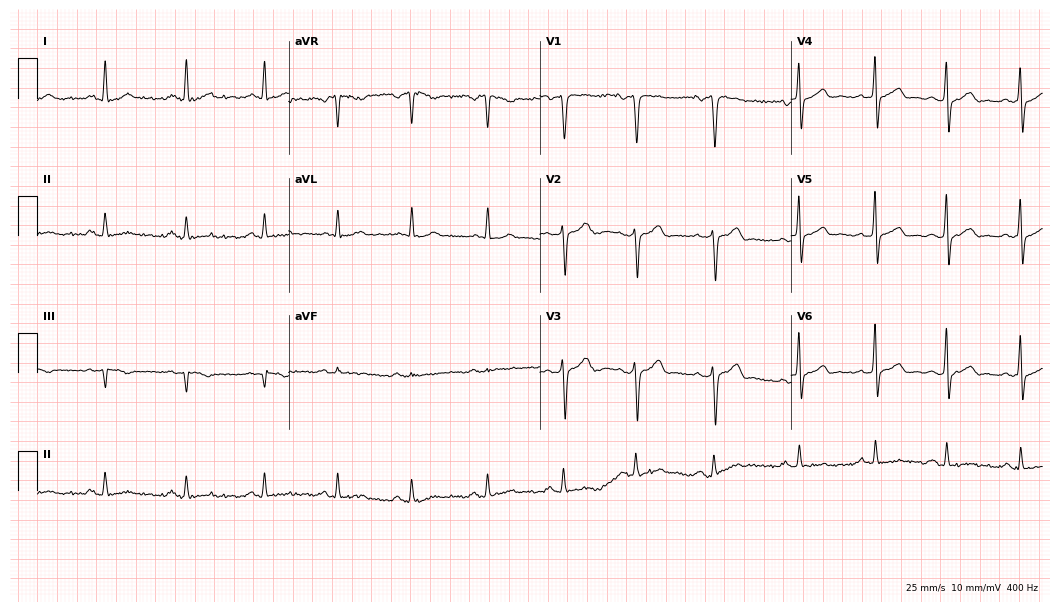
12-lead ECG (10.2-second recording at 400 Hz) from a male, 39 years old. Screened for six findings — first-degree AV block, right bundle branch block, left bundle branch block, sinus bradycardia, atrial fibrillation, sinus tachycardia — none is recorded. Other findings, if any, are not listed.